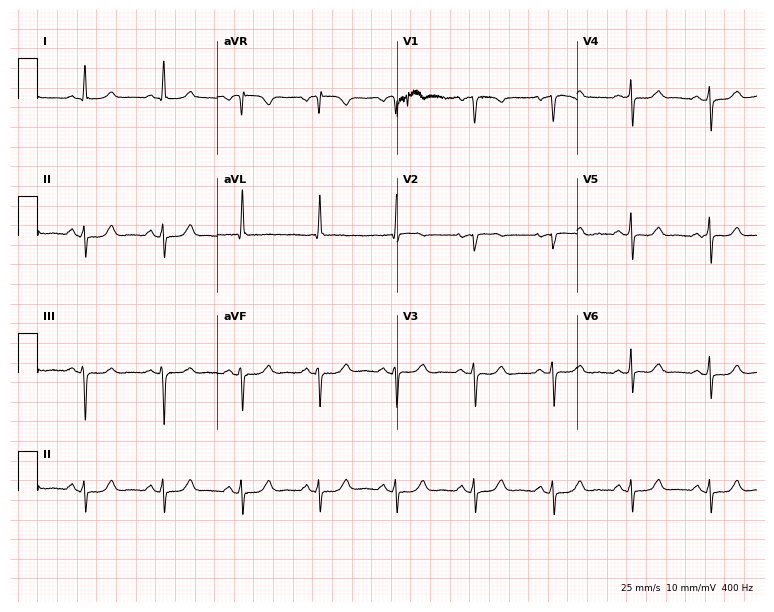
Resting 12-lead electrocardiogram. Patient: a female, 78 years old. None of these six findings is recorded: first-degree AV block, right bundle branch block (RBBB), left bundle branch block (LBBB), sinus bradycardia, atrial fibrillation (AF), sinus tachycardia.